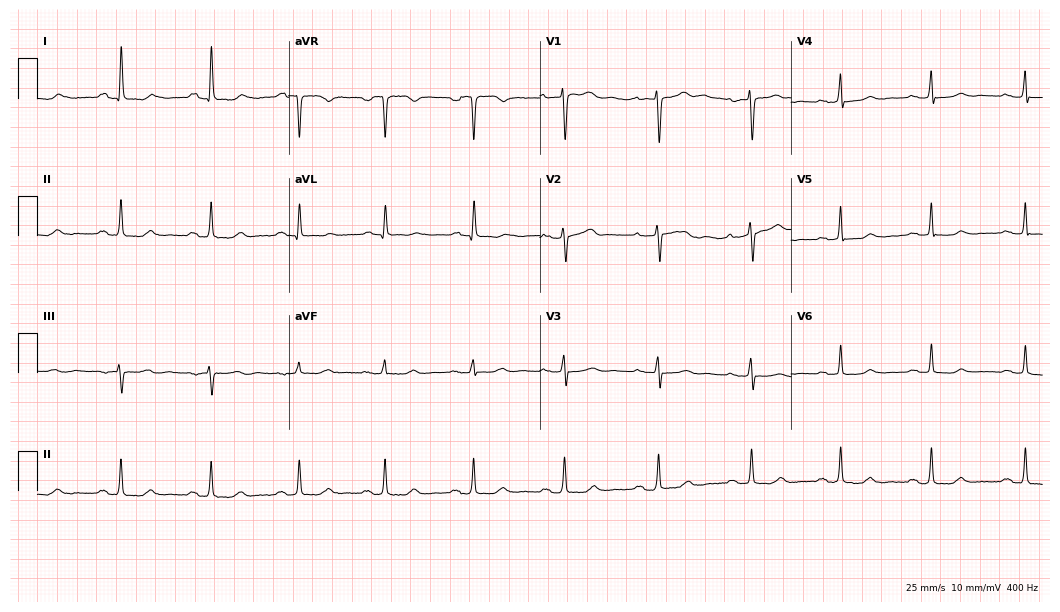
12-lead ECG from a female, 57 years old. Labelled as a normal ECG.